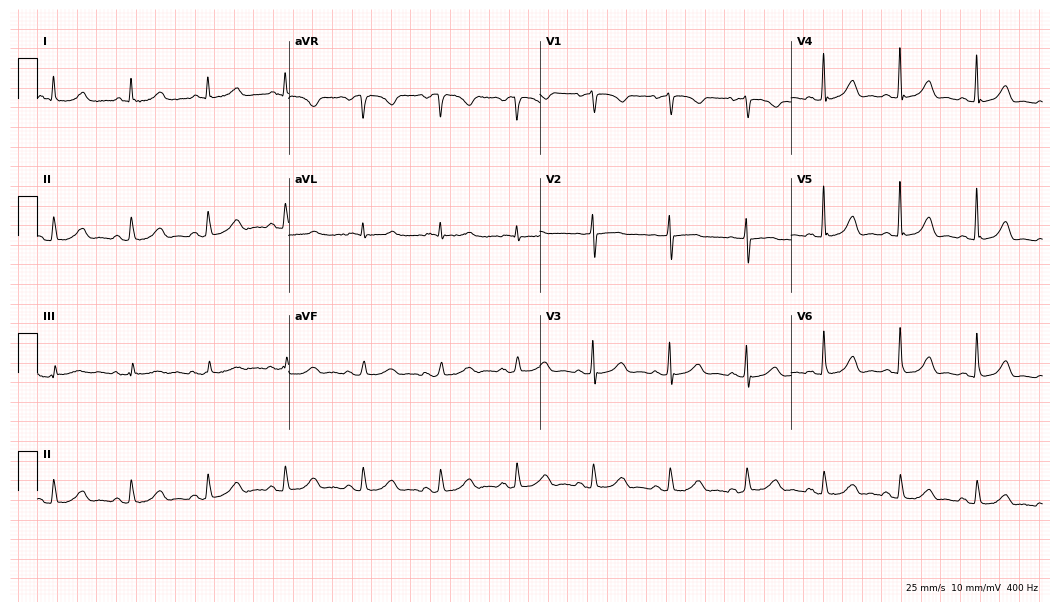
Standard 12-lead ECG recorded from a woman, 79 years old. Read as a normal ECG.